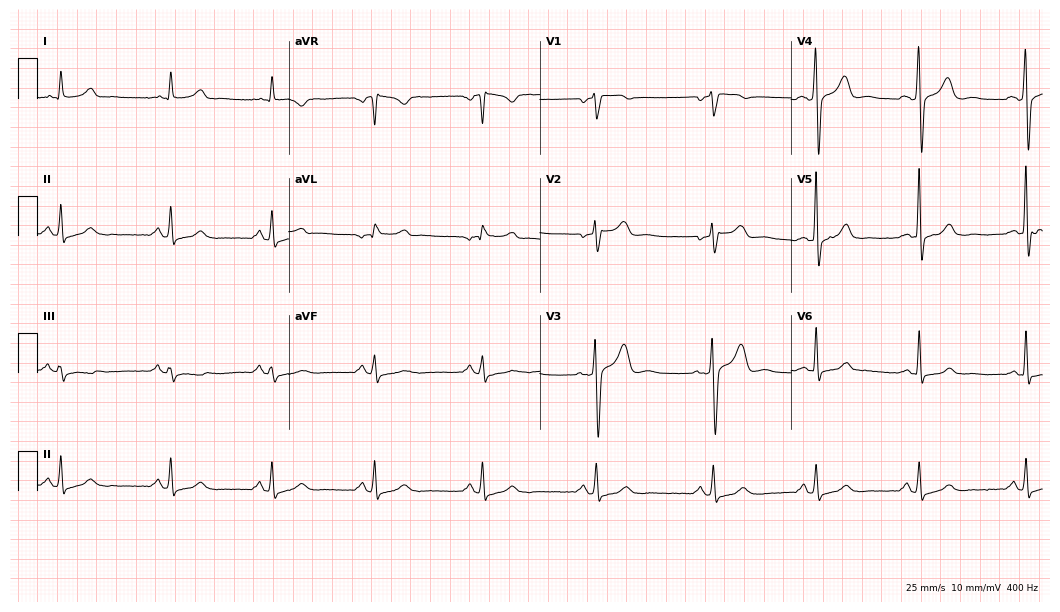
Resting 12-lead electrocardiogram. Patient: a male, 46 years old. Read as a normal ECG.